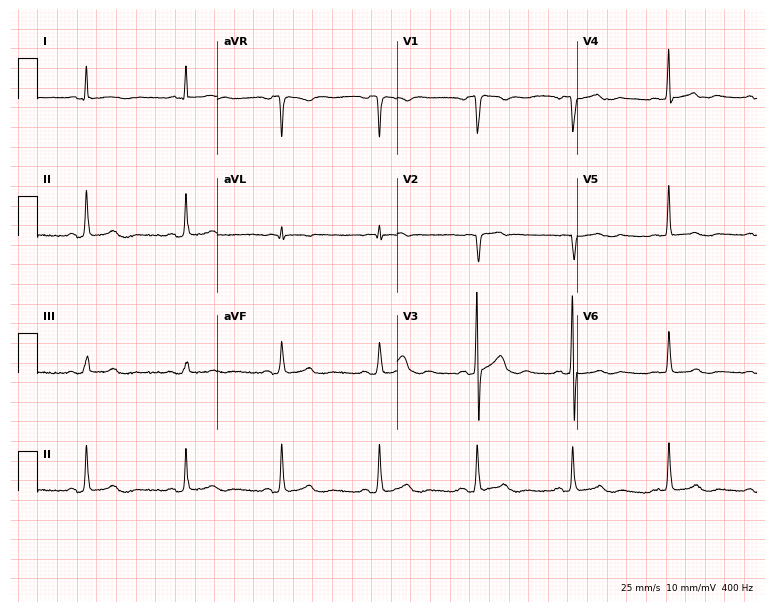
12-lead ECG (7.3-second recording at 400 Hz) from a male, 60 years old. Screened for six findings — first-degree AV block, right bundle branch block, left bundle branch block, sinus bradycardia, atrial fibrillation, sinus tachycardia — none is recorded.